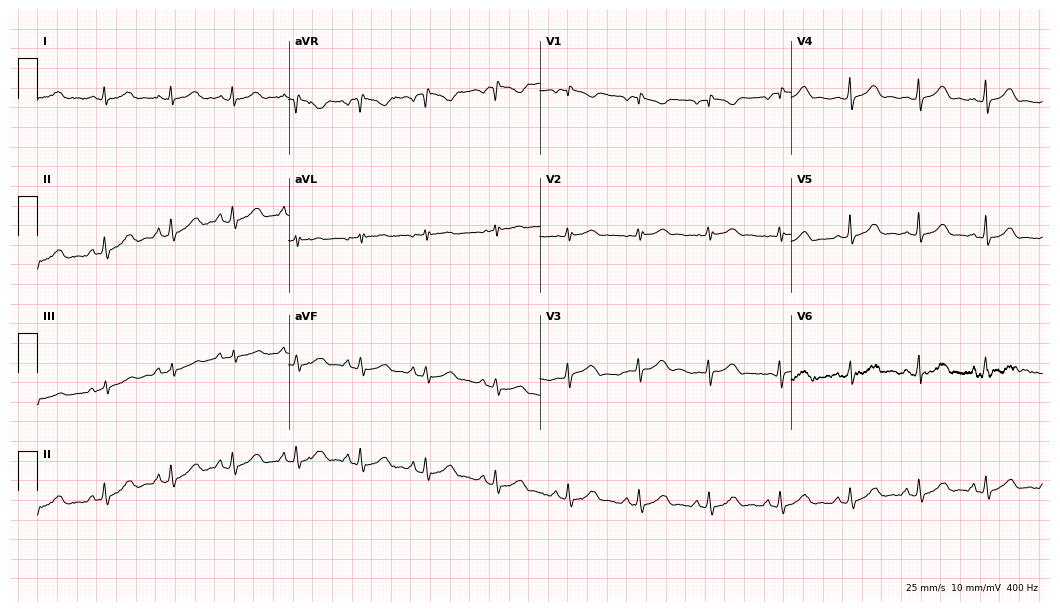
Standard 12-lead ECG recorded from a woman, 24 years old. Read as a normal ECG.